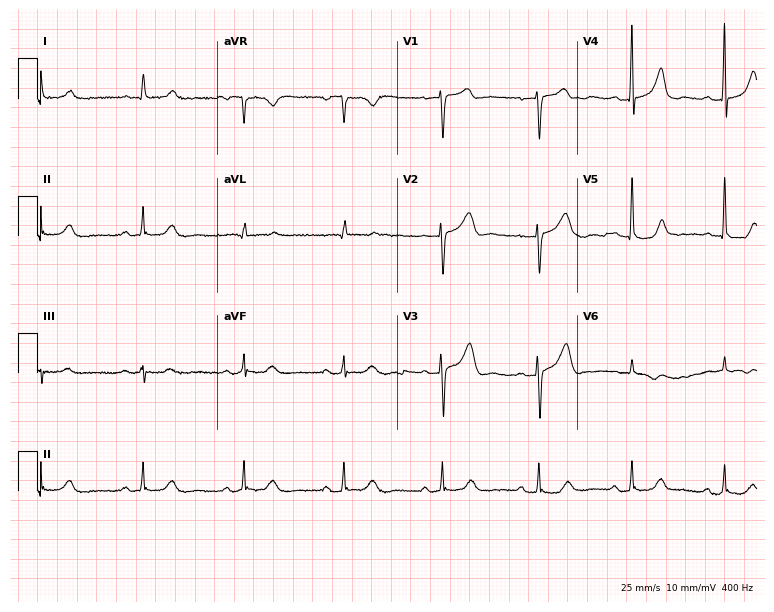
Resting 12-lead electrocardiogram (7.3-second recording at 400 Hz). Patient: an 80-year-old female. None of these six findings is recorded: first-degree AV block, right bundle branch block, left bundle branch block, sinus bradycardia, atrial fibrillation, sinus tachycardia. Other findings, if any, are not listed.